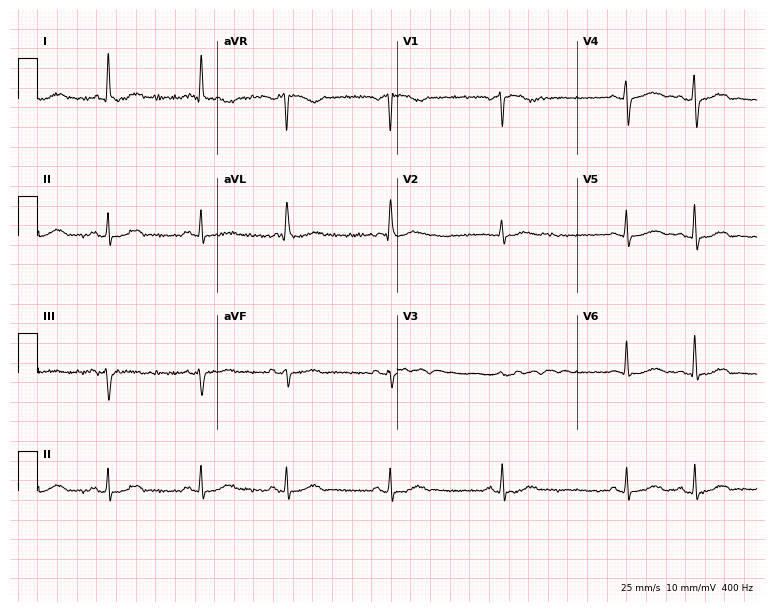
ECG — a man, 64 years old. Screened for six findings — first-degree AV block, right bundle branch block, left bundle branch block, sinus bradycardia, atrial fibrillation, sinus tachycardia — none is recorded. Findings outside these six are not listed.